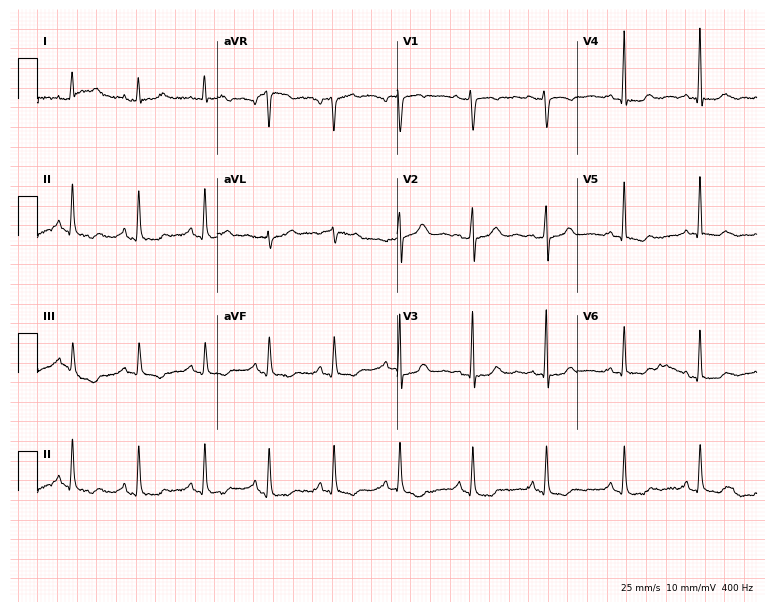
Electrocardiogram (7.3-second recording at 400 Hz), a 51-year-old female patient. Of the six screened findings (first-degree AV block, right bundle branch block, left bundle branch block, sinus bradycardia, atrial fibrillation, sinus tachycardia), none is recorded. Other findings, if any, are not listed.